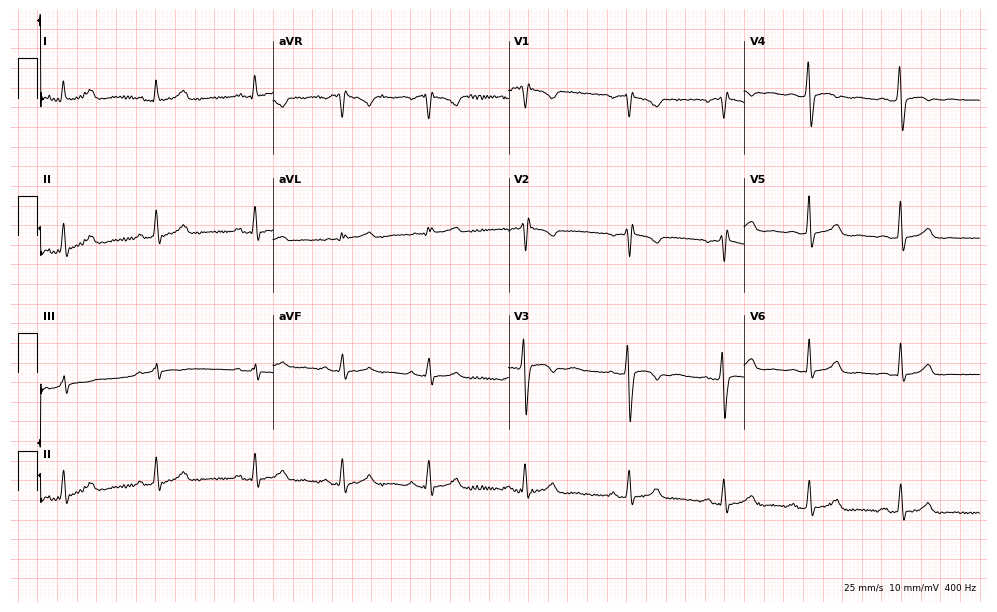
Resting 12-lead electrocardiogram. Patient: a female, 28 years old. Read as a normal ECG.